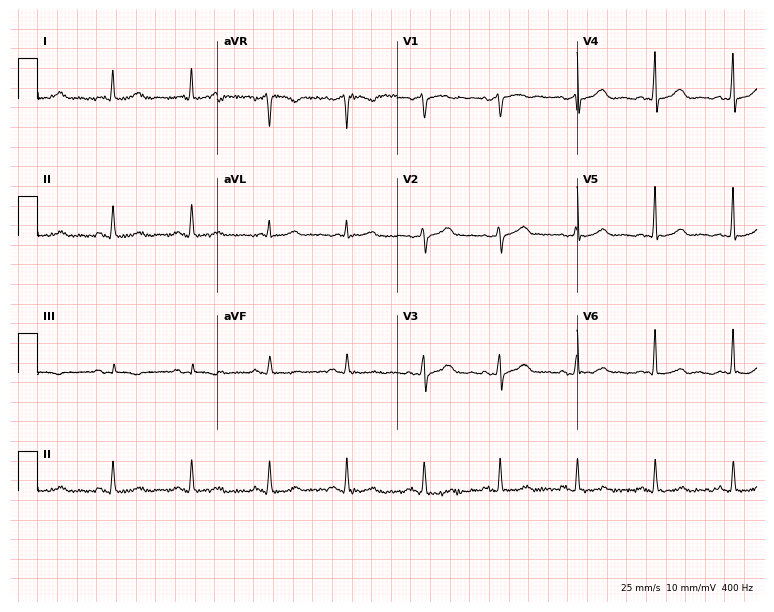
ECG — a 74-year-old female. Screened for six findings — first-degree AV block, right bundle branch block, left bundle branch block, sinus bradycardia, atrial fibrillation, sinus tachycardia — none is recorded. Other findings, if any, are not listed.